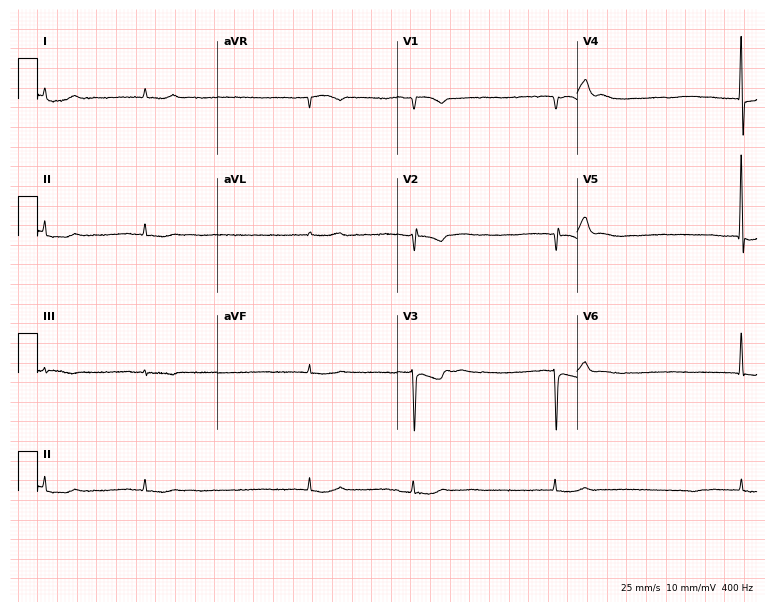
ECG — a man, 83 years old. Screened for six findings — first-degree AV block, right bundle branch block (RBBB), left bundle branch block (LBBB), sinus bradycardia, atrial fibrillation (AF), sinus tachycardia — none is recorded. Findings outside these six are not listed.